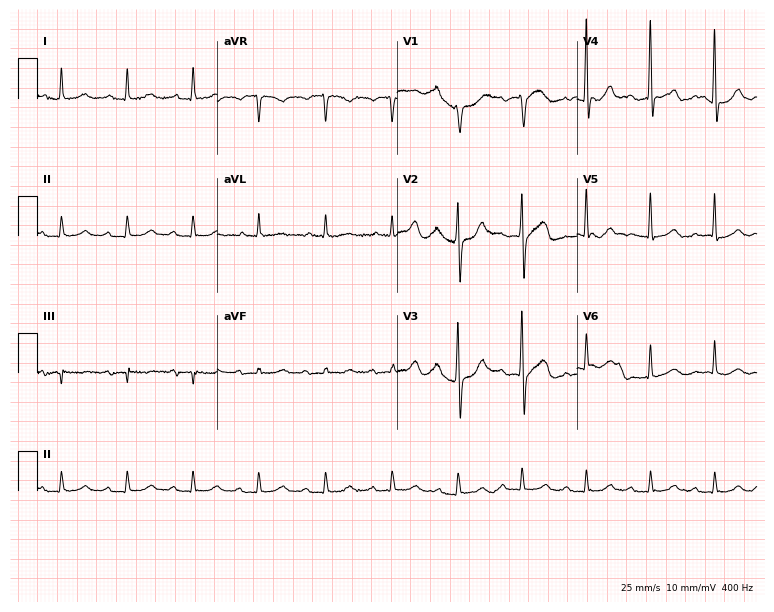
12-lead ECG (7.3-second recording at 400 Hz) from a 79-year-old man. Labelled as a normal ECG.